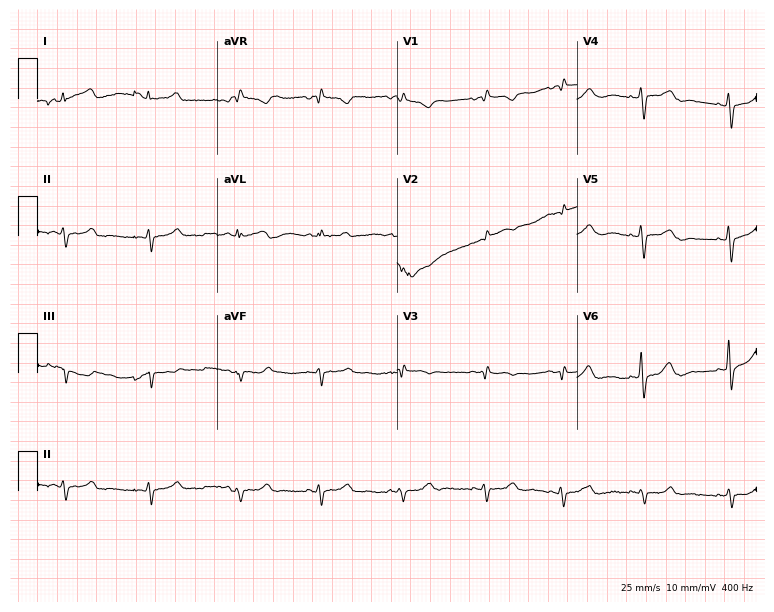
Electrocardiogram (7.3-second recording at 400 Hz), a female patient, 72 years old. Of the six screened findings (first-degree AV block, right bundle branch block, left bundle branch block, sinus bradycardia, atrial fibrillation, sinus tachycardia), none is recorded. Only these six findings were labelled.